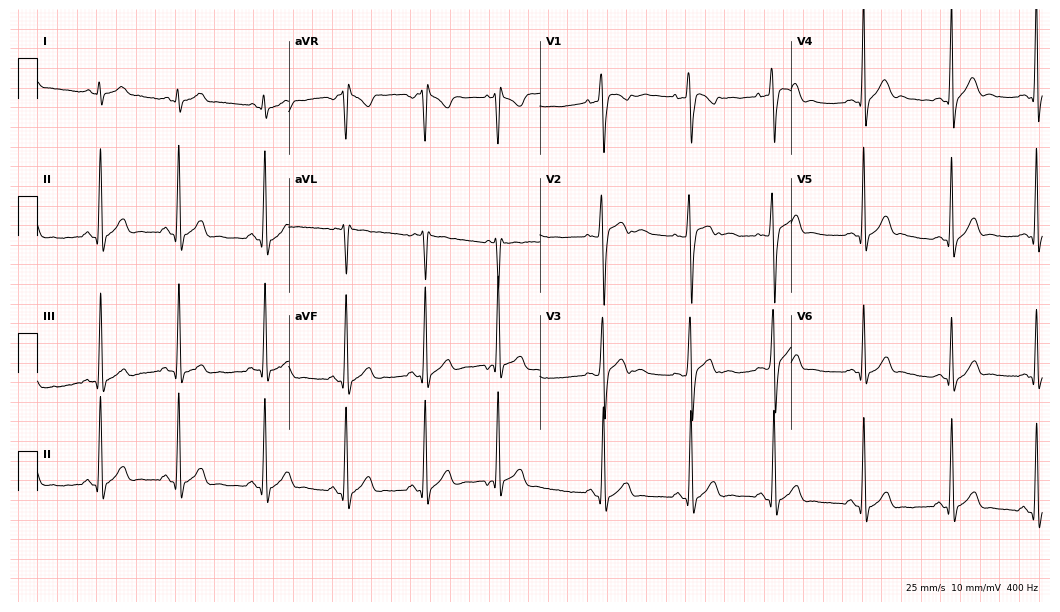
Resting 12-lead electrocardiogram. Patient: a male, 17 years old. None of these six findings is recorded: first-degree AV block, right bundle branch block, left bundle branch block, sinus bradycardia, atrial fibrillation, sinus tachycardia. Only these six findings were labelled.